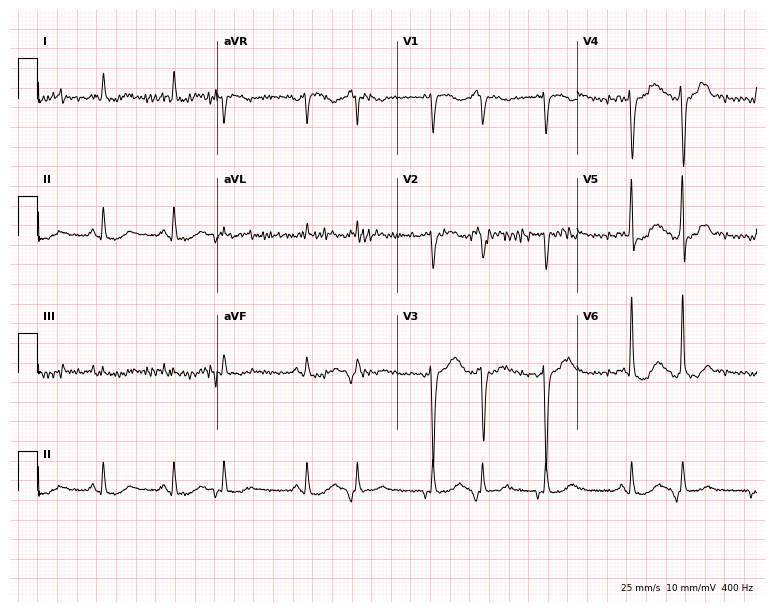
Electrocardiogram (7.3-second recording at 400 Hz), a 77-year-old male. Of the six screened findings (first-degree AV block, right bundle branch block, left bundle branch block, sinus bradycardia, atrial fibrillation, sinus tachycardia), none is recorded.